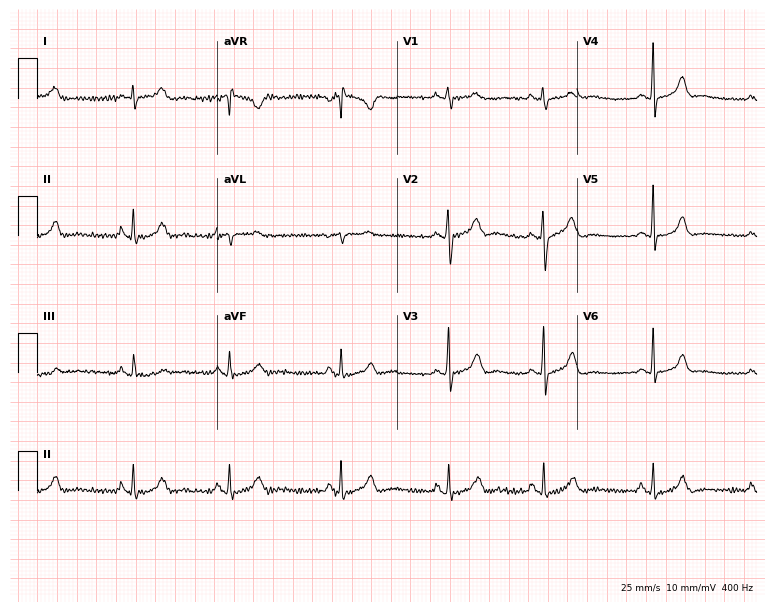
12-lead ECG (7.3-second recording at 400 Hz) from a female, 35 years old. Labelled as a normal ECG.